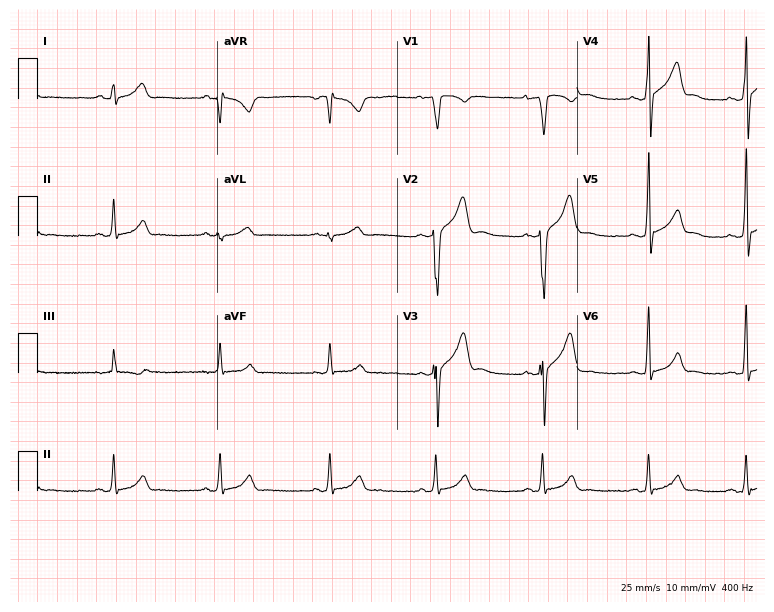
Standard 12-lead ECG recorded from a 30-year-old male patient (7.3-second recording at 400 Hz). Read as a normal ECG.